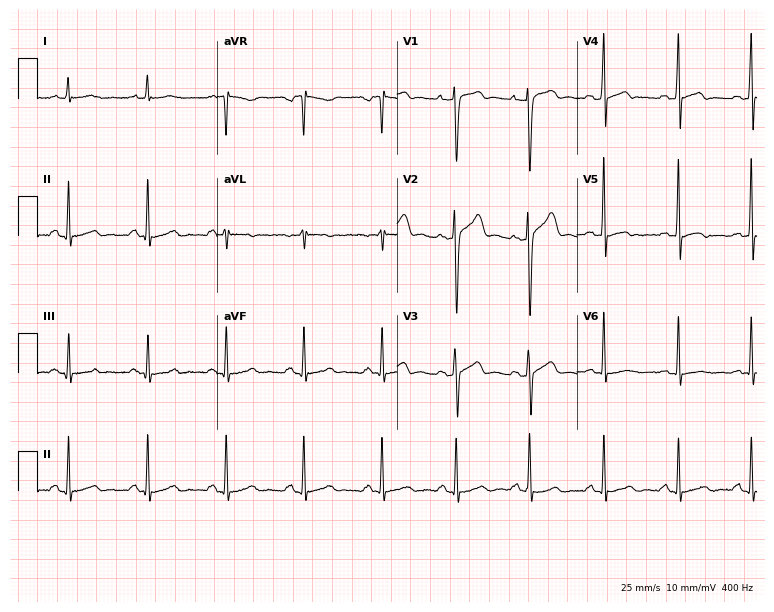
12-lead ECG from a 27-year-old male patient. Screened for six findings — first-degree AV block, right bundle branch block, left bundle branch block, sinus bradycardia, atrial fibrillation, sinus tachycardia — none is recorded.